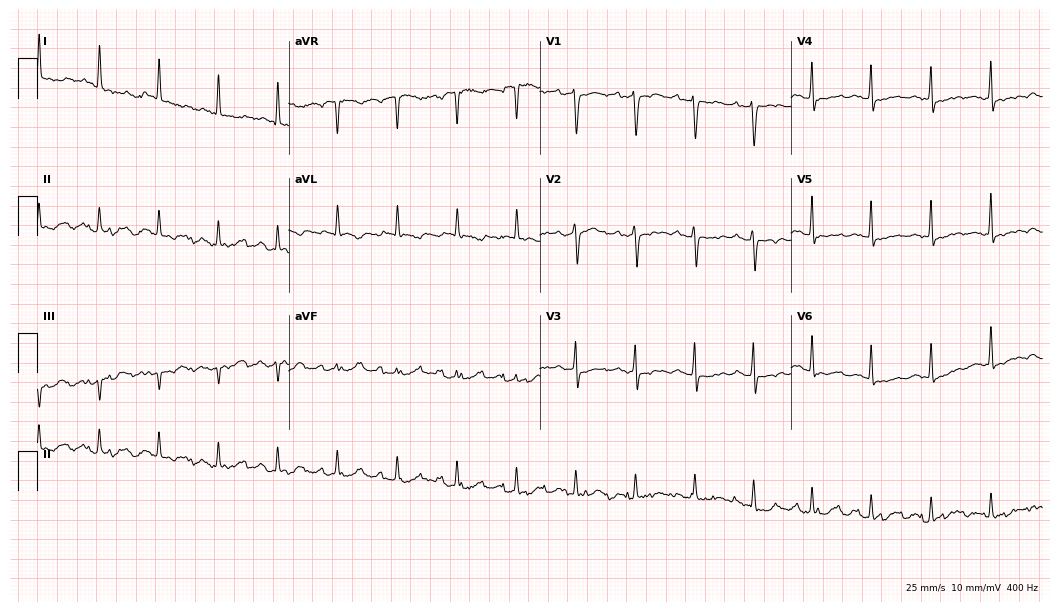
12-lead ECG from a 79-year-old female patient. Screened for six findings — first-degree AV block, right bundle branch block, left bundle branch block, sinus bradycardia, atrial fibrillation, sinus tachycardia — none is recorded. Only these six findings were labelled.